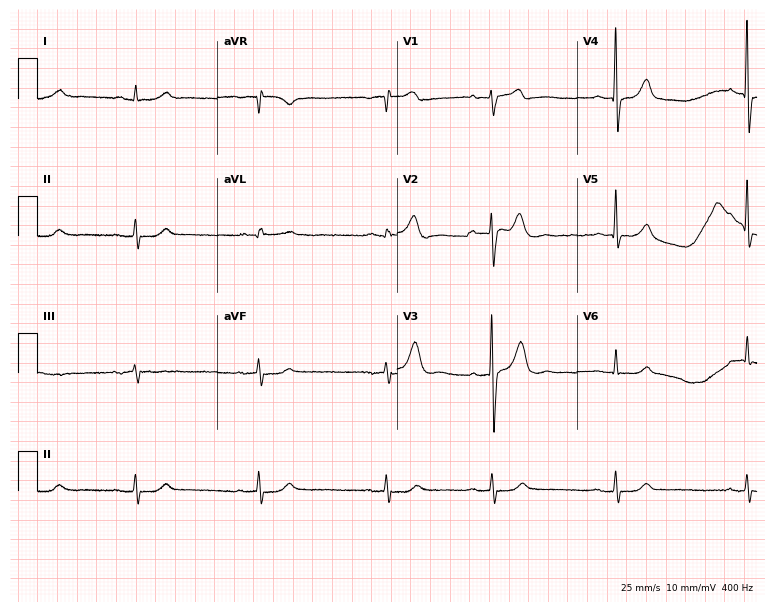
12-lead ECG (7.3-second recording at 400 Hz) from a man, 62 years old. Findings include sinus bradycardia (a sinus rate of 50 beats per minute or less).